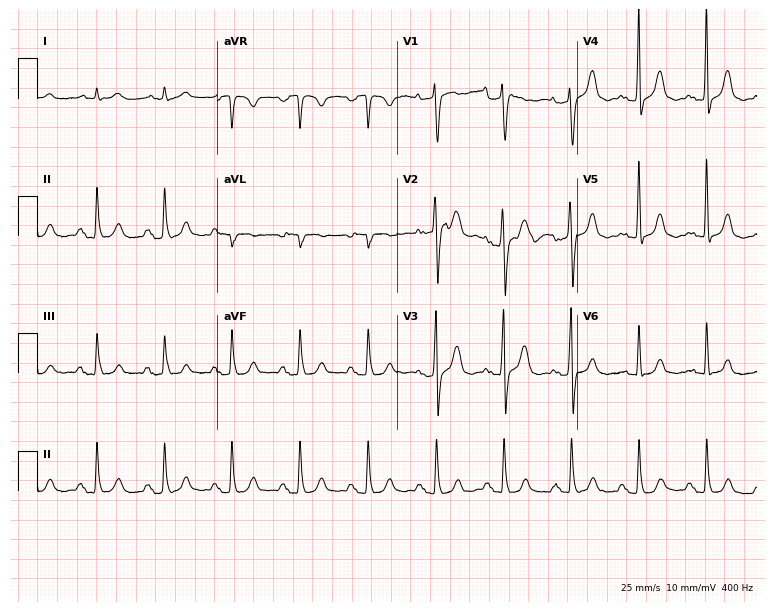
Standard 12-lead ECG recorded from a male, 73 years old. Read as a normal ECG.